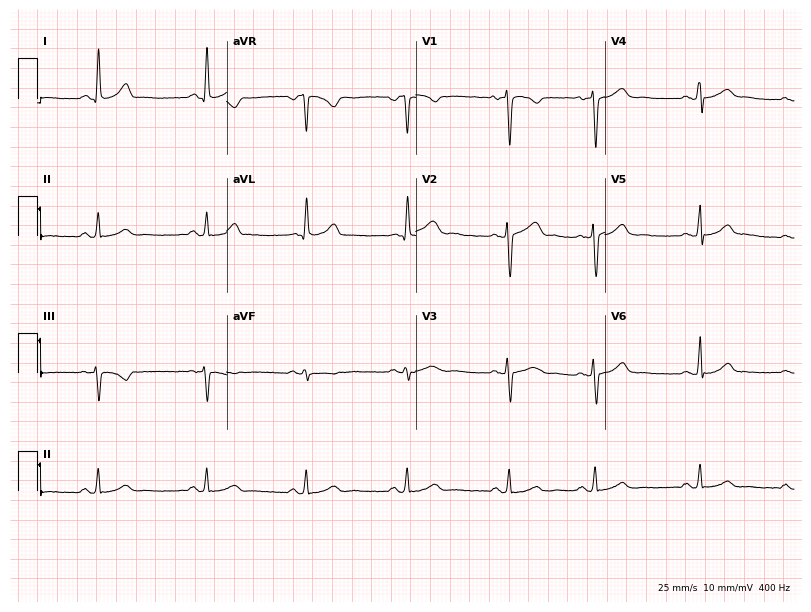
Standard 12-lead ECG recorded from a 24-year-old female. Read as a normal ECG.